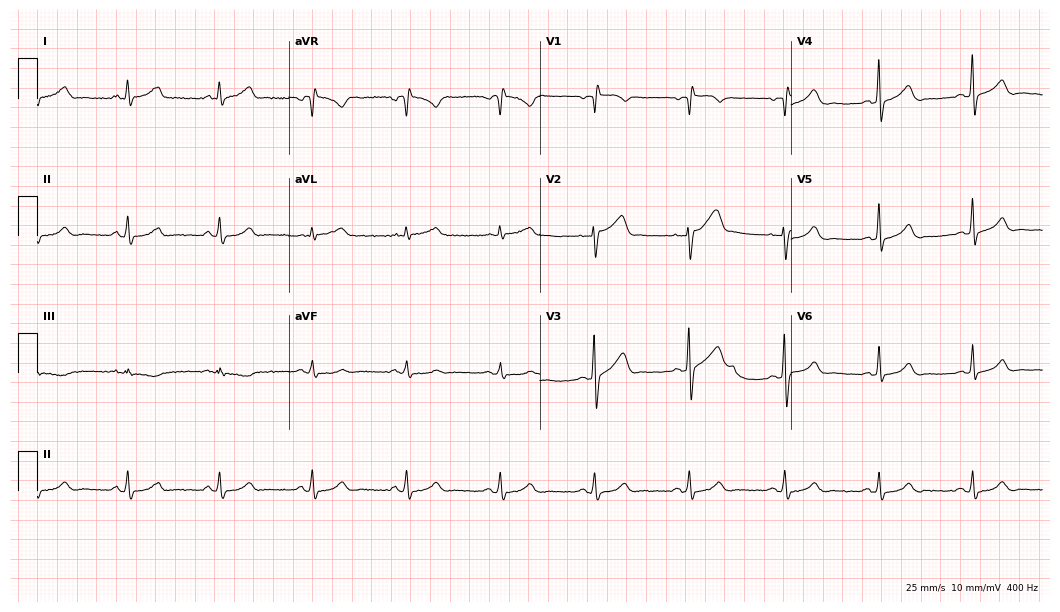
12-lead ECG from a 55-year-old man. No first-degree AV block, right bundle branch block, left bundle branch block, sinus bradycardia, atrial fibrillation or sinus tachycardia recorded for this tracing. Other findings, if any, are not listed.